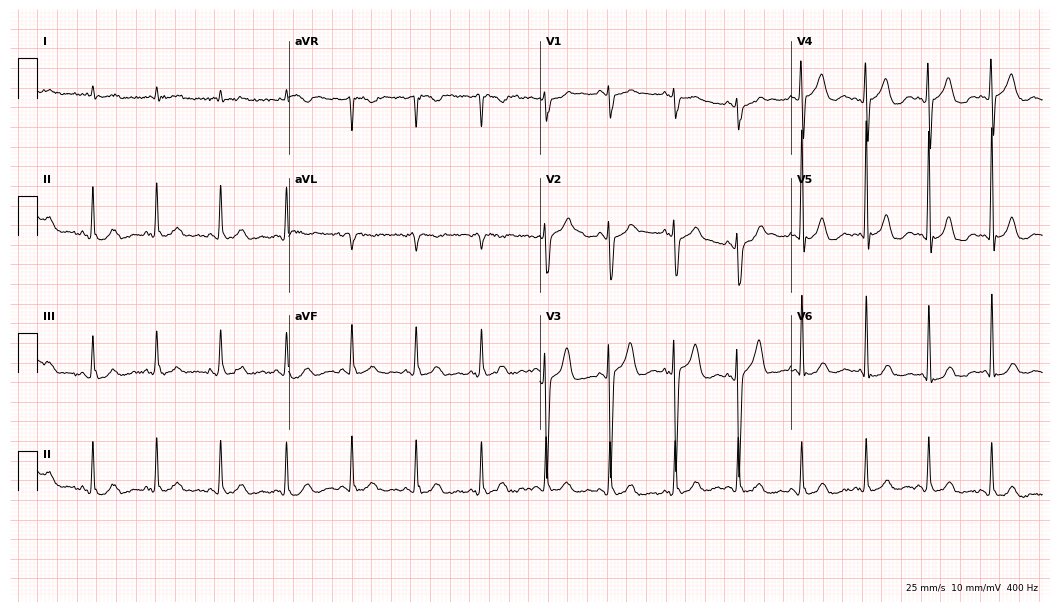
12-lead ECG from an 80-year-old woman. Screened for six findings — first-degree AV block, right bundle branch block, left bundle branch block, sinus bradycardia, atrial fibrillation, sinus tachycardia — none is recorded.